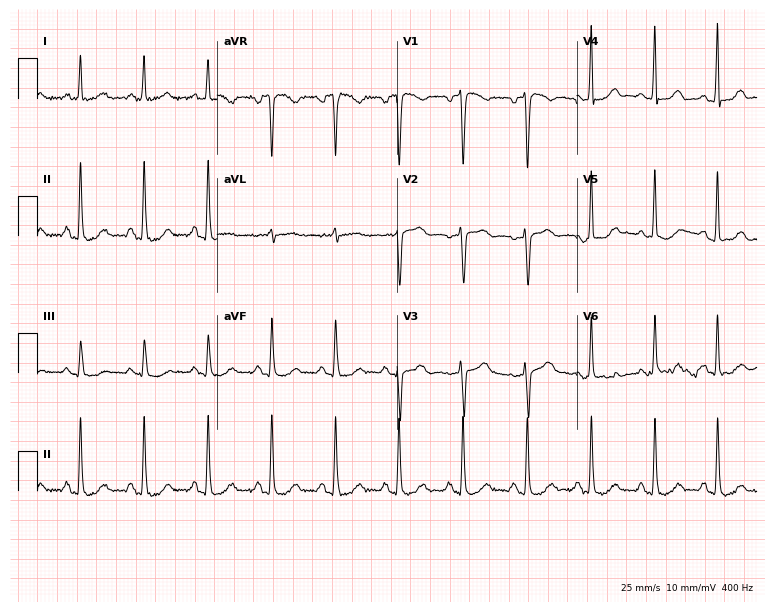
12-lead ECG from a female patient, 52 years old (7.3-second recording at 400 Hz). Recorded interpretation: within normal limits.